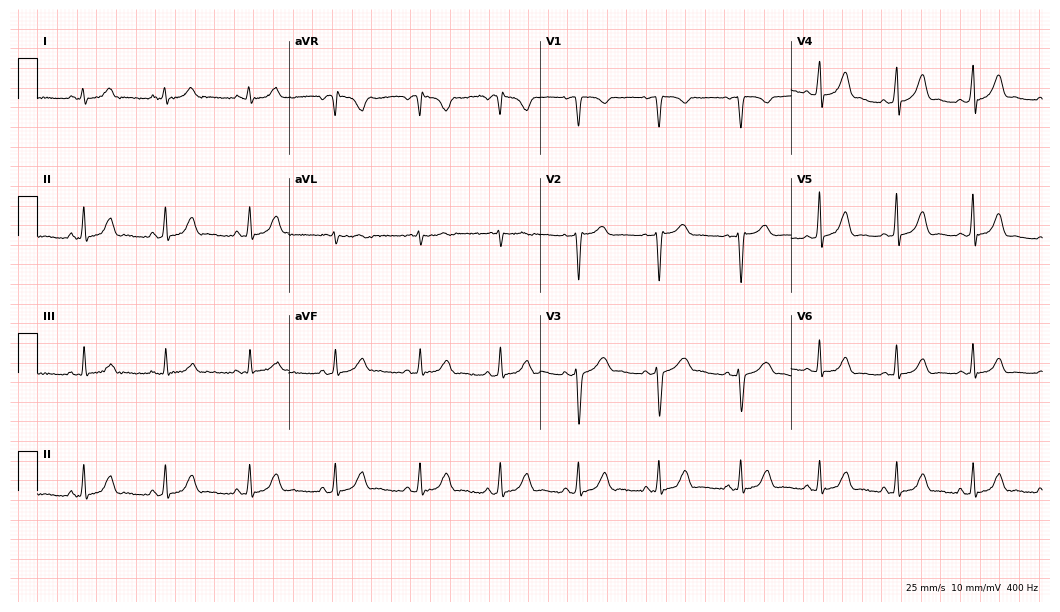
Electrocardiogram, a 27-year-old female patient. Overall reading on record: normal ECG.